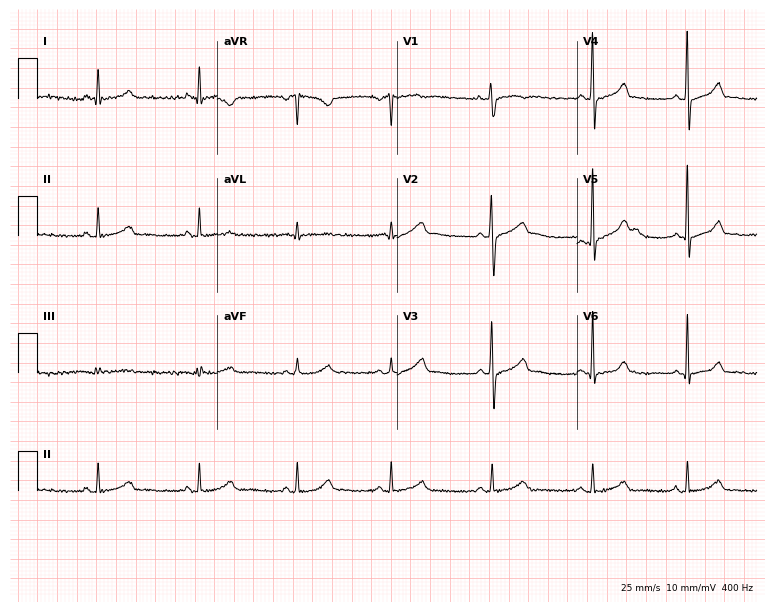
Electrocardiogram, a 32-year-old woman. Of the six screened findings (first-degree AV block, right bundle branch block, left bundle branch block, sinus bradycardia, atrial fibrillation, sinus tachycardia), none is recorded. Findings outside these six are not listed.